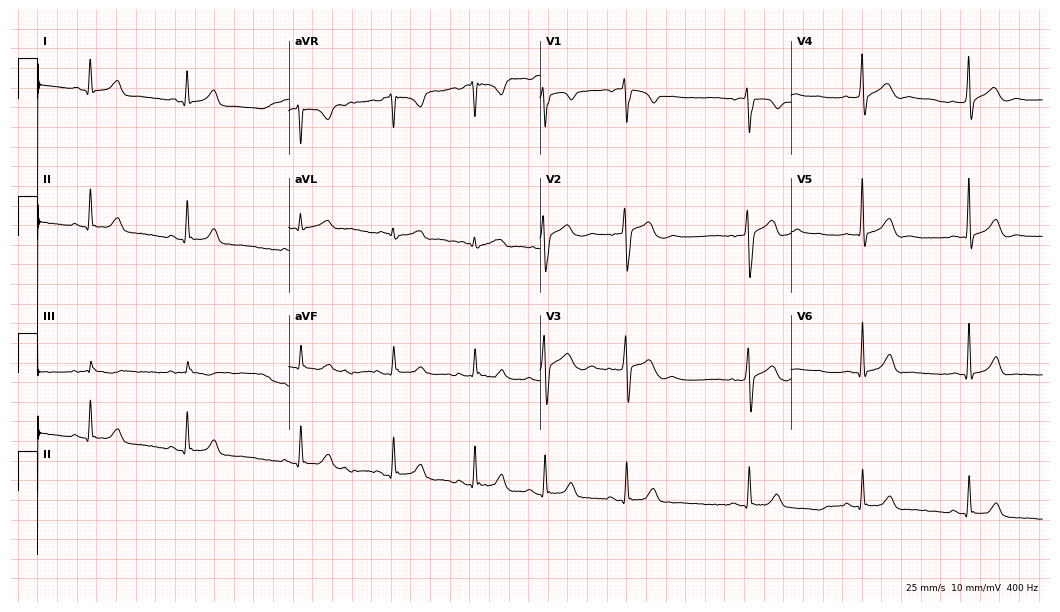
12-lead ECG (10.2-second recording at 400 Hz) from a 34-year-old male patient. Labelled as a normal ECG.